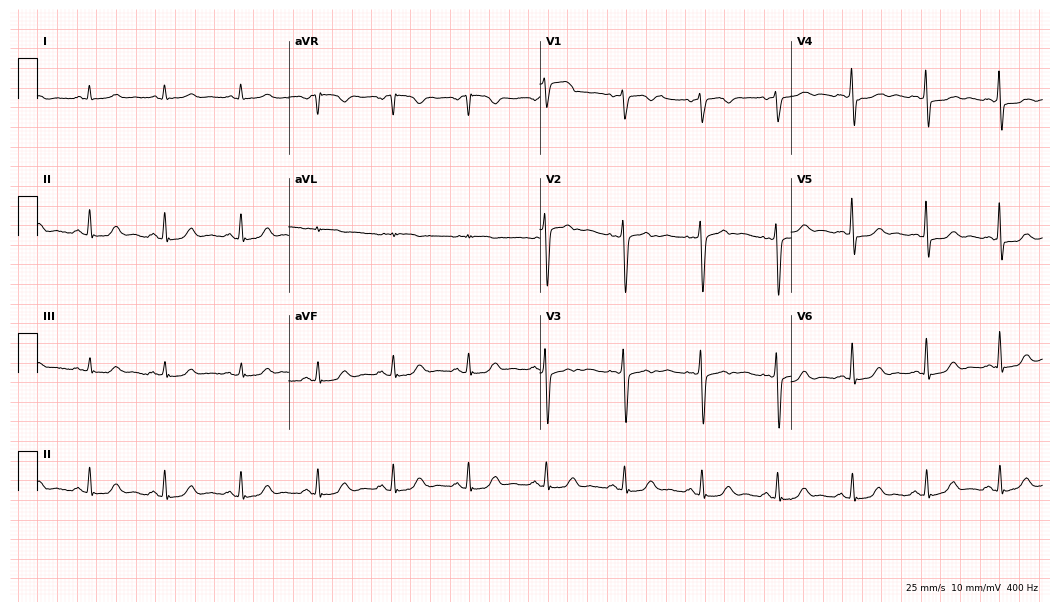
Standard 12-lead ECG recorded from a 62-year-old female patient (10.2-second recording at 400 Hz). None of these six findings is recorded: first-degree AV block, right bundle branch block, left bundle branch block, sinus bradycardia, atrial fibrillation, sinus tachycardia.